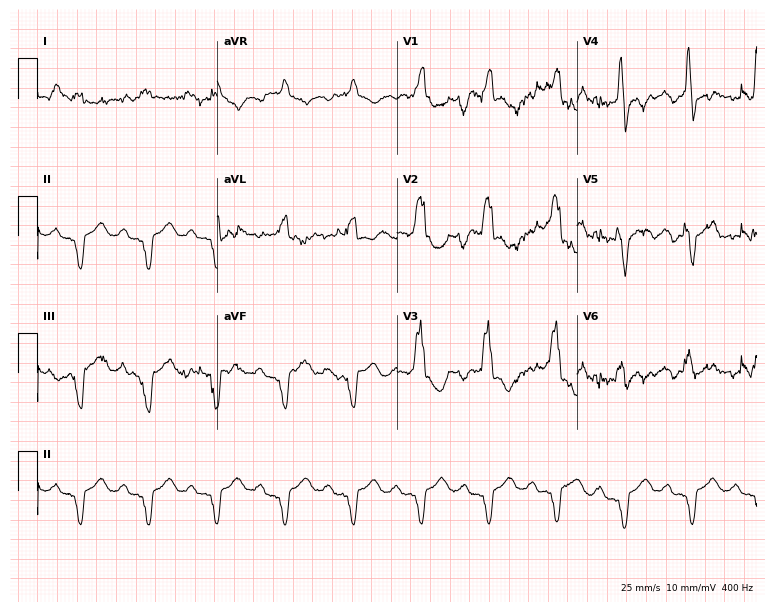
Resting 12-lead electrocardiogram. Patient: a 43-year-old male. None of these six findings is recorded: first-degree AV block, right bundle branch block, left bundle branch block, sinus bradycardia, atrial fibrillation, sinus tachycardia.